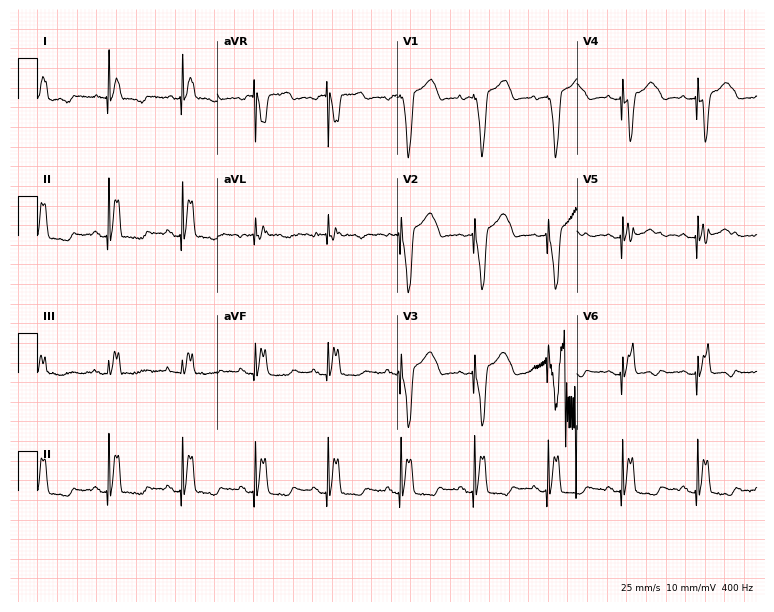
12-lead ECG (7.3-second recording at 400 Hz) from a woman, 79 years old. Screened for six findings — first-degree AV block, right bundle branch block, left bundle branch block, sinus bradycardia, atrial fibrillation, sinus tachycardia — none is recorded. Only these six findings were labelled.